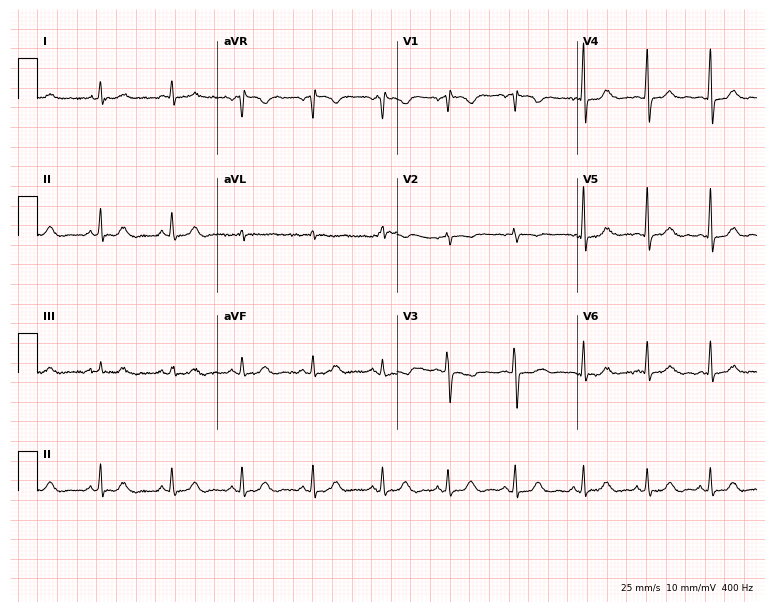
Resting 12-lead electrocardiogram (7.3-second recording at 400 Hz). Patient: a woman, 55 years old. None of these six findings is recorded: first-degree AV block, right bundle branch block, left bundle branch block, sinus bradycardia, atrial fibrillation, sinus tachycardia.